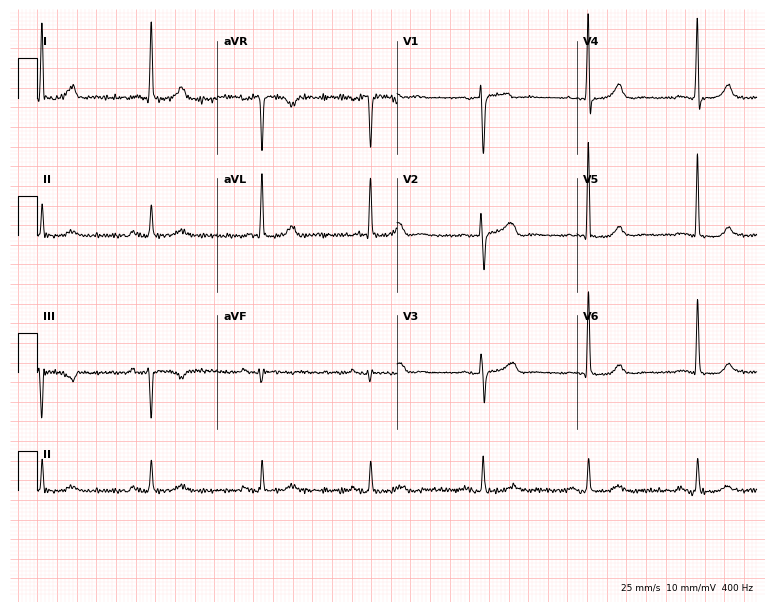
Resting 12-lead electrocardiogram (7.3-second recording at 400 Hz). Patient: a female, 63 years old. Read as a normal ECG.